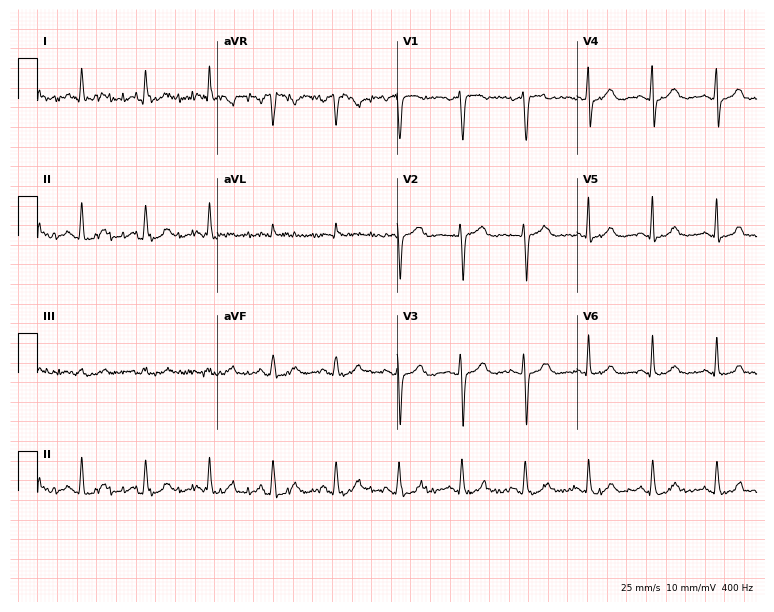
Electrocardiogram, a 55-year-old woman. Of the six screened findings (first-degree AV block, right bundle branch block, left bundle branch block, sinus bradycardia, atrial fibrillation, sinus tachycardia), none is recorded. Other findings, if any, are not listed.